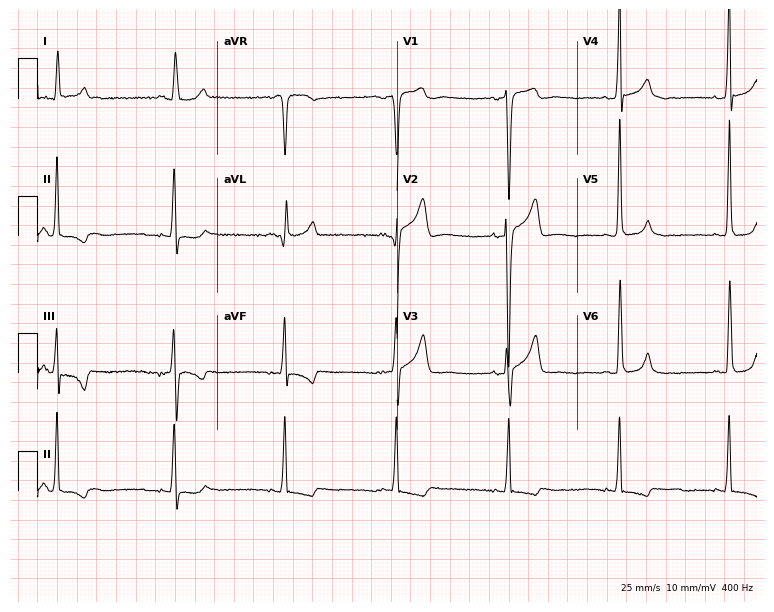
Resting 12-lead electrocardiogram (7.3-second recording at 400 Hz). Patient: a man, 37 years old. None of these six findings is recorded: first-degree AV block, right bundle branch block (RBBB), left bundle branch block (LBBB), sinus bradycardia, atrial fibrillation (AF), sinus tachycardia.